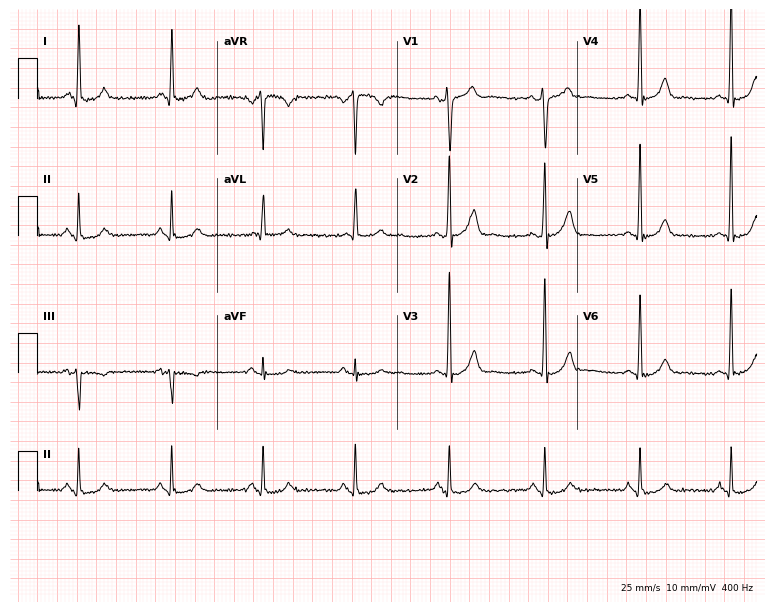
Resting 12-lead electrocardiogram. Patient: a male, 47 years old. Read as a normal ECG.